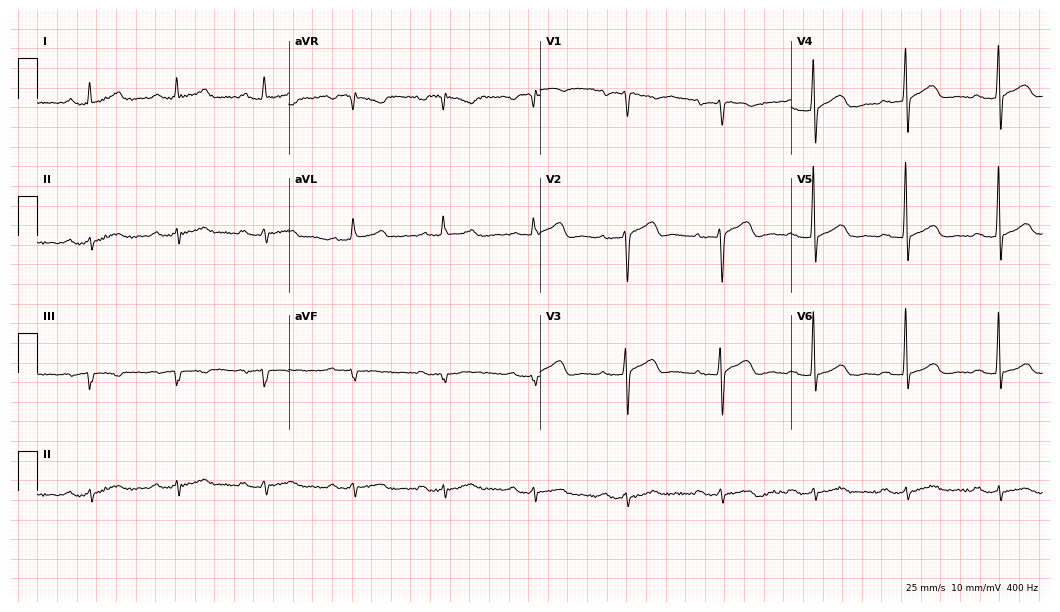
12-lead ECG from a 75-year-old man (10.2-second recording at 400 Hz). Recorded interpretation: within normal limits.